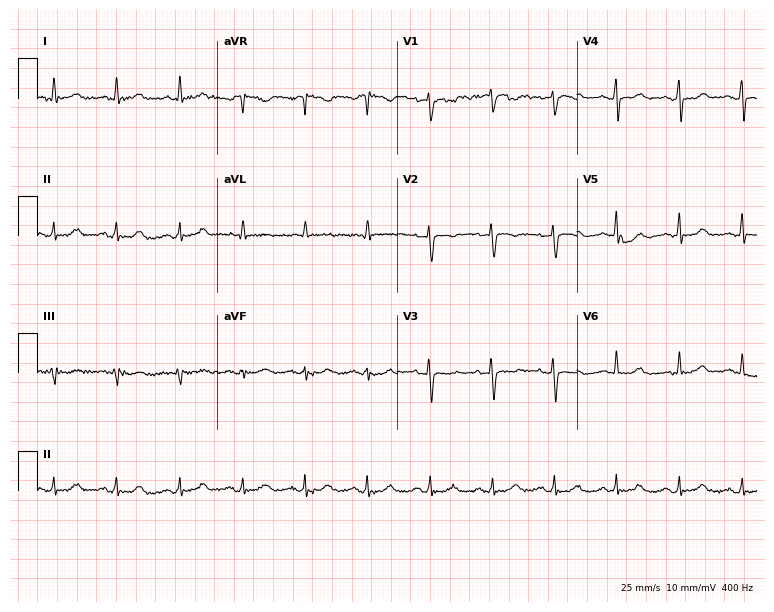
Electrocardiogram, a 64-year-old woman. Overall reading on record: normal ECG.